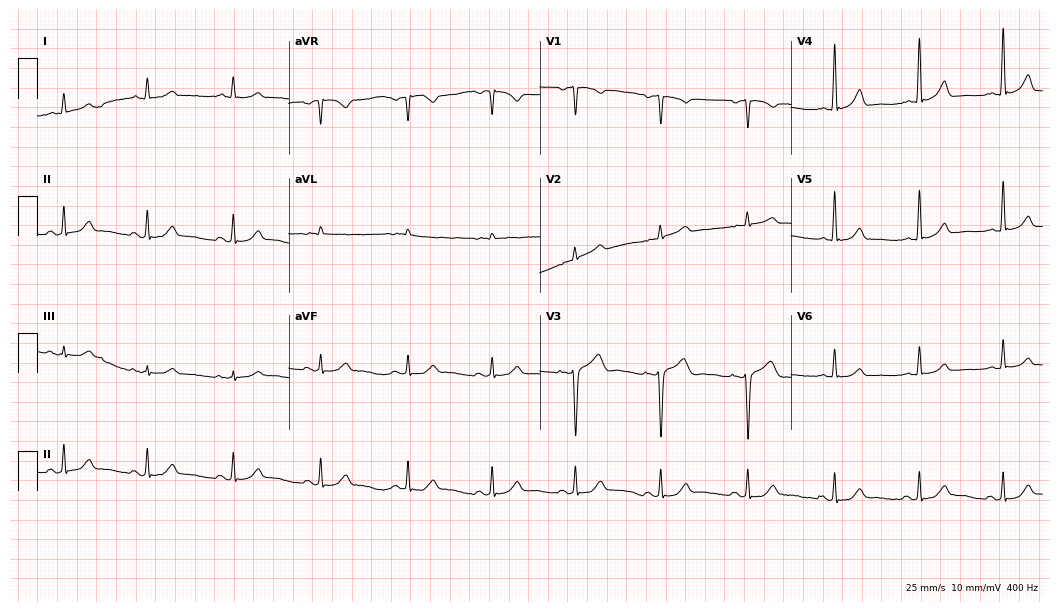
12-lead ECG (10.2-second recording at 400 Hz) from a man, 68 years old. Labelled as a normal ECG.